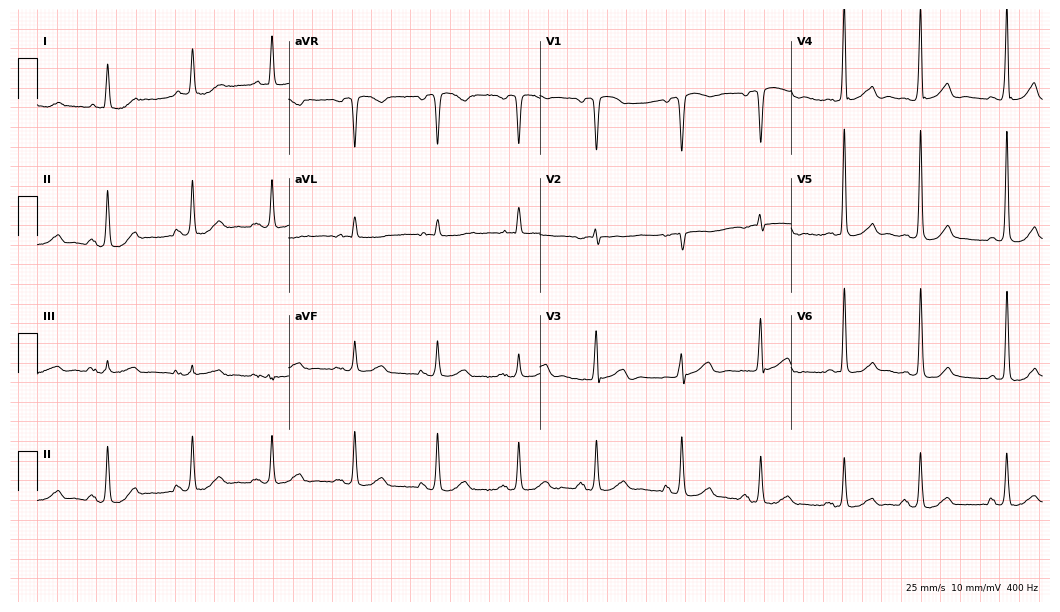
12-lead ECG from a male patient, 72 years old. No first-degree AV block, right bundle branch block (RBBB), left bundle branch block (LBBB), sinus bradycardia, atrial fibrillation (AF) or sinus tachycardia recorded for this tracing.